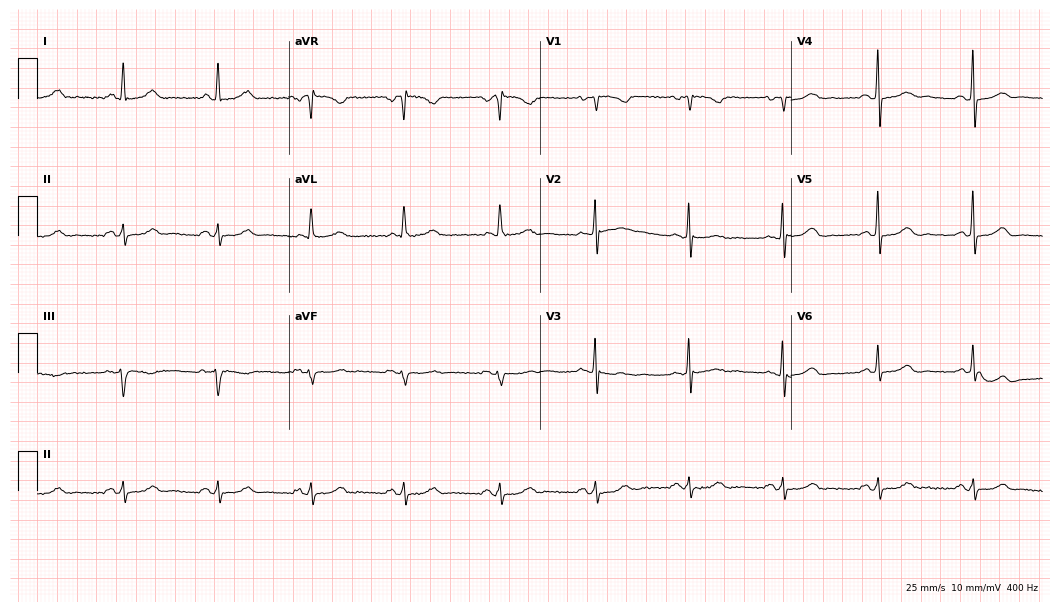
12-lead ECG (10.2-second recording at 400 Hz) from a female, 68 years old. Labelled as a normal ECG.